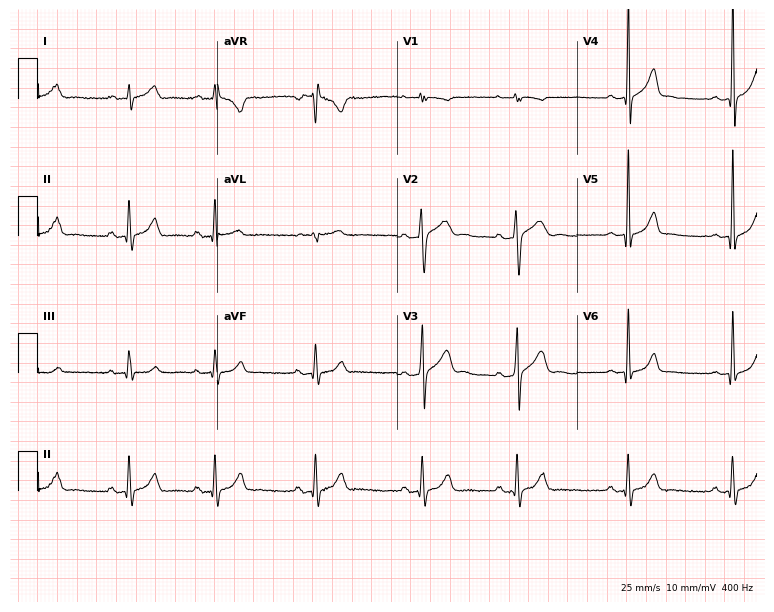
12-lead ECG (7.3-second recording at 400 Hz) from a male patient, 21 years old. Labelled as a normal ECG.